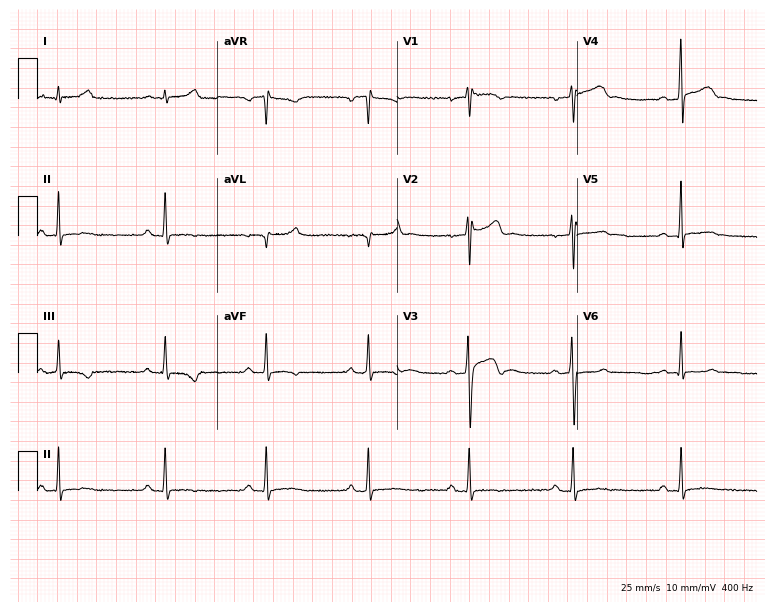
12-lead ECG from a 29-year-old male patient (7.3-second recording at 400 Hz). No first-degree AV block, right bundle branch block, left bundle branch block, sinus bradycardia, atrial fibrillation or sinus tachycardia recorded for this tracing.